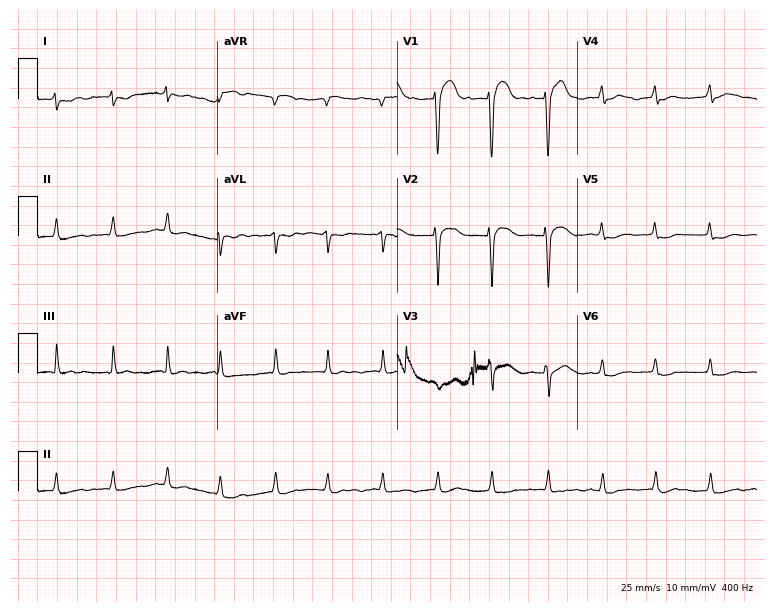
12-lead ECG (7.3-second recording at 400 Hz) from an 80-year-old woman. Screened for six findings — first-degree AV block, right bundle branch block (RBBB), left bundle branch block (LBBB), sinus bradycardia, atrial fibrillation (AF), sinus tachycardia — none is recorded.